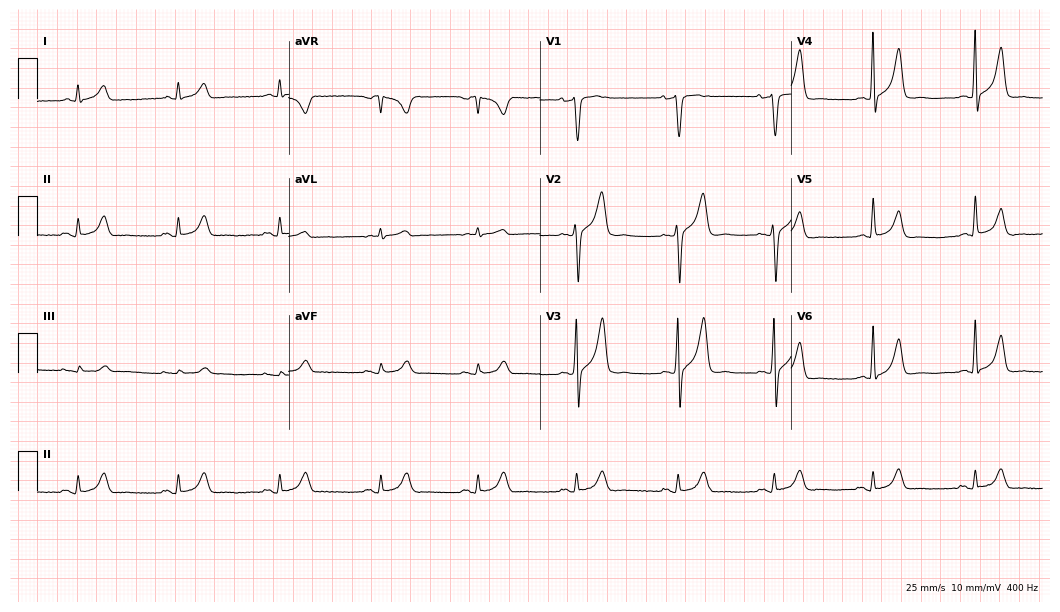
12-lead ECG (10.2-second recording at 400 Hz) from a male, 56 years old. Labelled as a normal ECG.